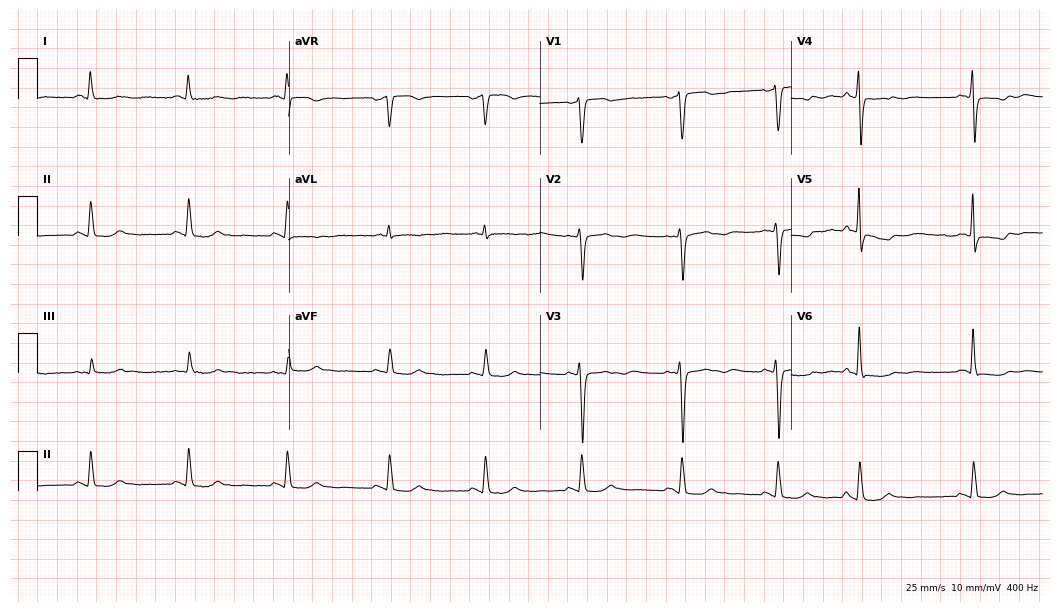
ECG — a 60-year-old female patient. Screened for six findings — first-degree AV block, right bundle branch block, left bundle branch block, sinus bradycardia, atrial fibrillation, sinus tachycardia — none is recorded. Only these six findings were labelled.